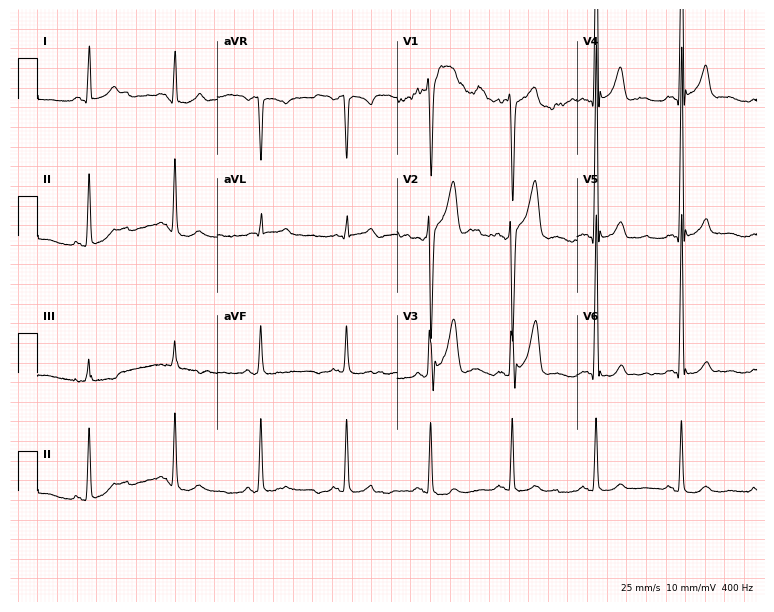
ECG — a 36-year-old man. Screened for six findings — first-degree AV block, right bundle branch block (RBBB), left bundle branch block (LBBB), sinus bradycardia, atrial fibrillation (AF), sinus tachycardia — none is recorded.